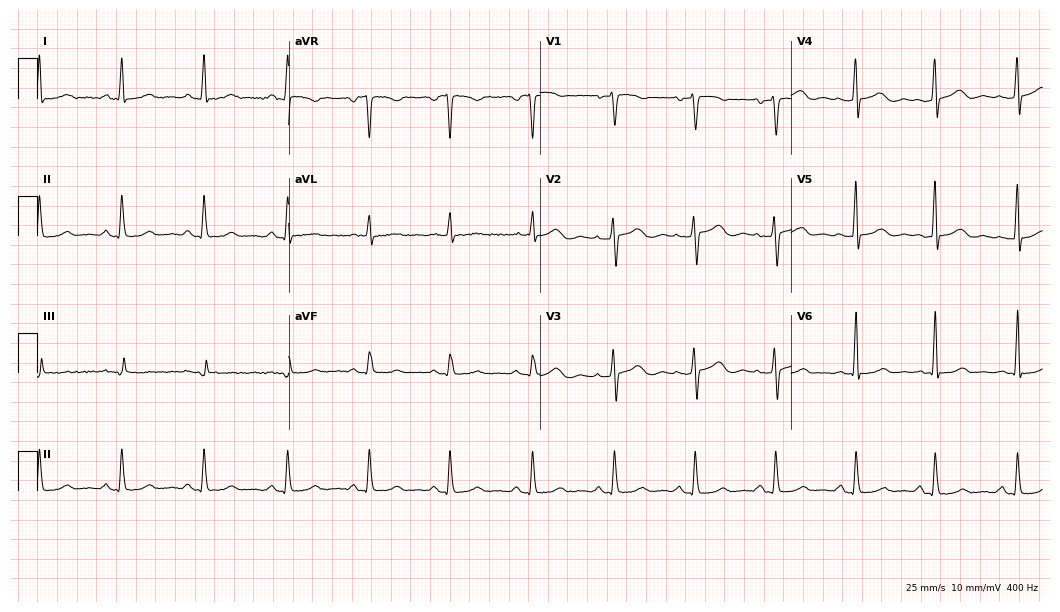
Standard 12-lead ECG recorded from a 48-year-old female. Read as a normal ECG.